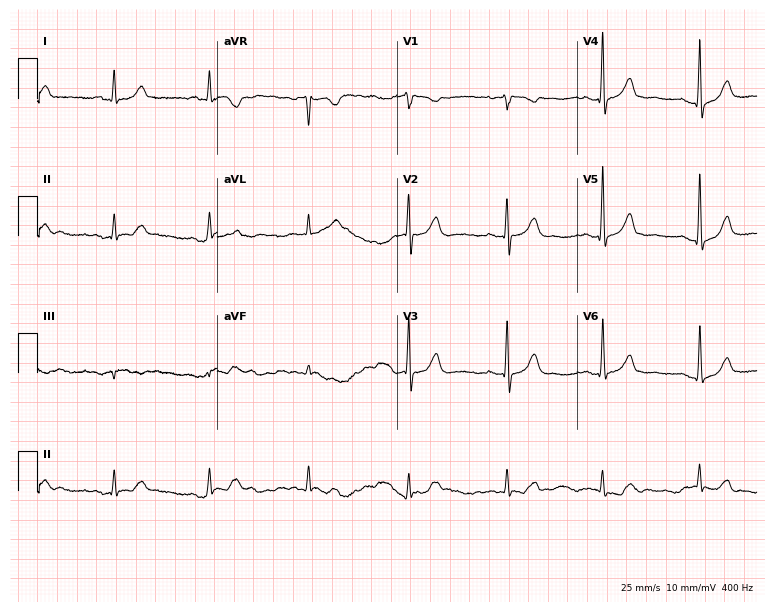
ECG — a woman, 63 years old. Labelled as a normal ECG.